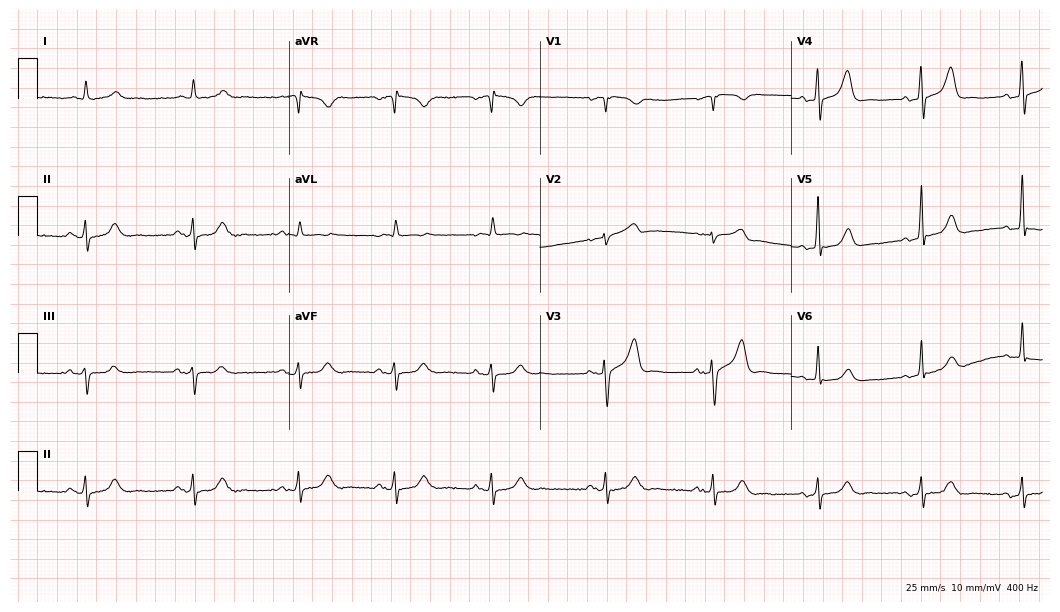
ECG (10.2-second recording at 400 Hz) — a man, 85 years old. Labelled as a normal ECG.